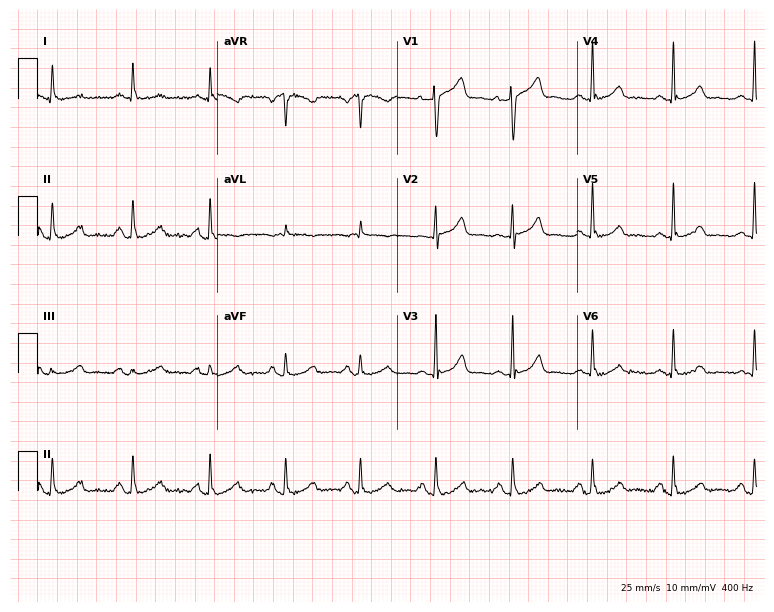
12-lead ECG from a male, 61 years old. Recorded interpretation: within normal limits.